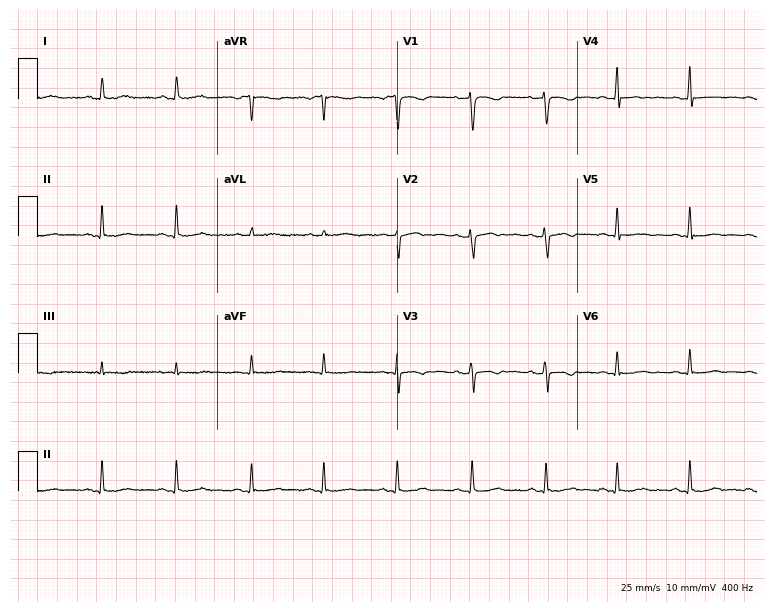
ECG — a 43-year-old female patient. Screened for six findings — first-degree AV block, right bundle branch block, left bundle branch block, sinus bradycardia, atrial fibrillation, sinus tachycardia — none is recorded. Findings outside these six are not listed.